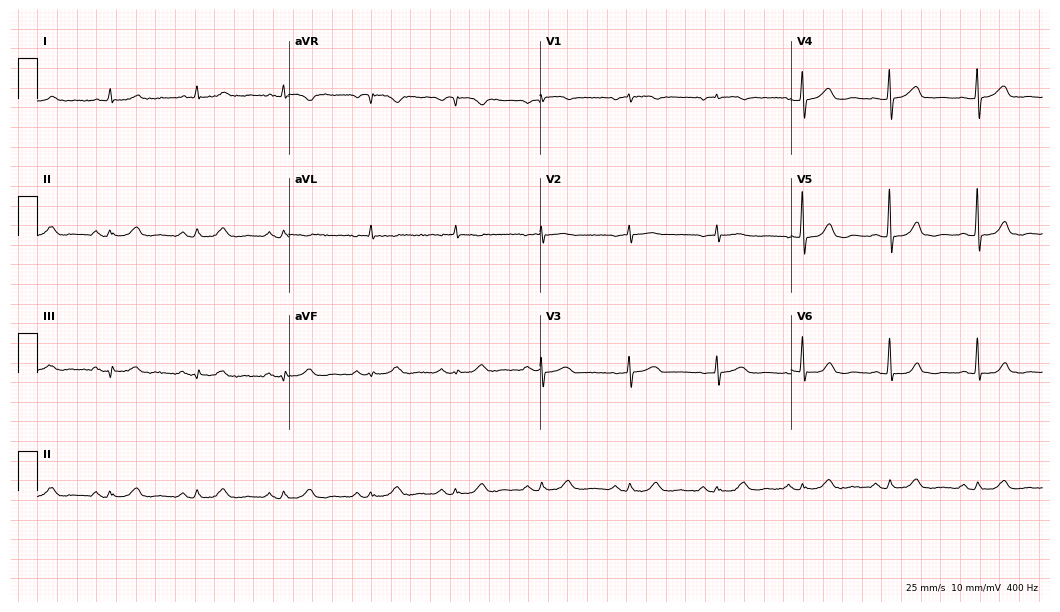
Standard 12-lead ECG recorded from a 71-year-old woman. None of these six findings is recorded: first-degree AV block, right bundle branch block, left bundle branch block, sinus bradycardia, atrial fibrillation, sinus tachycardia.